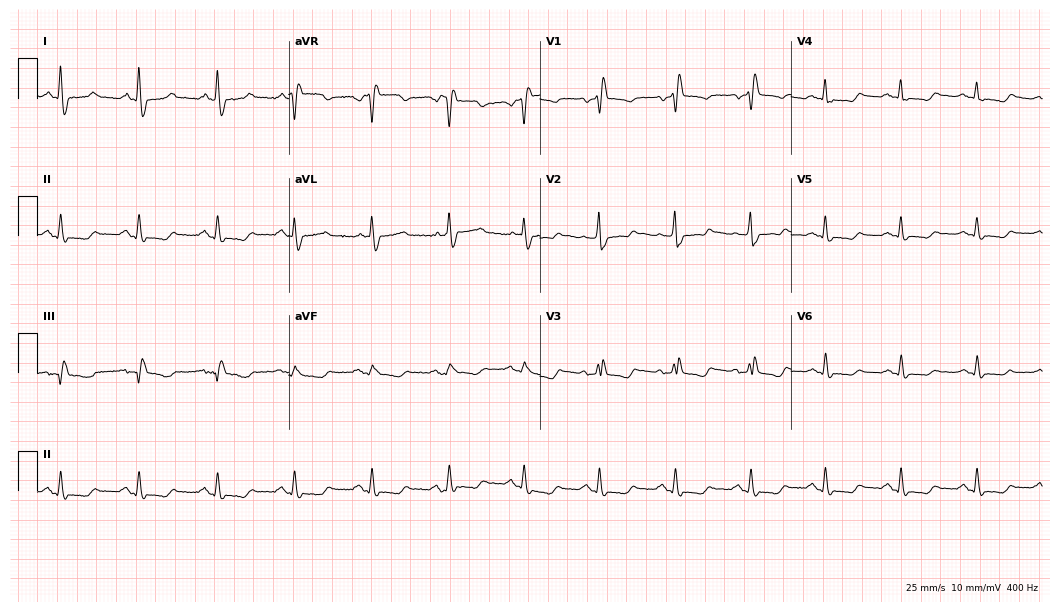
Resting 12-lead electrocardiogram. Patient: a female, 71 years old. The tracing shows right bundle branch block.